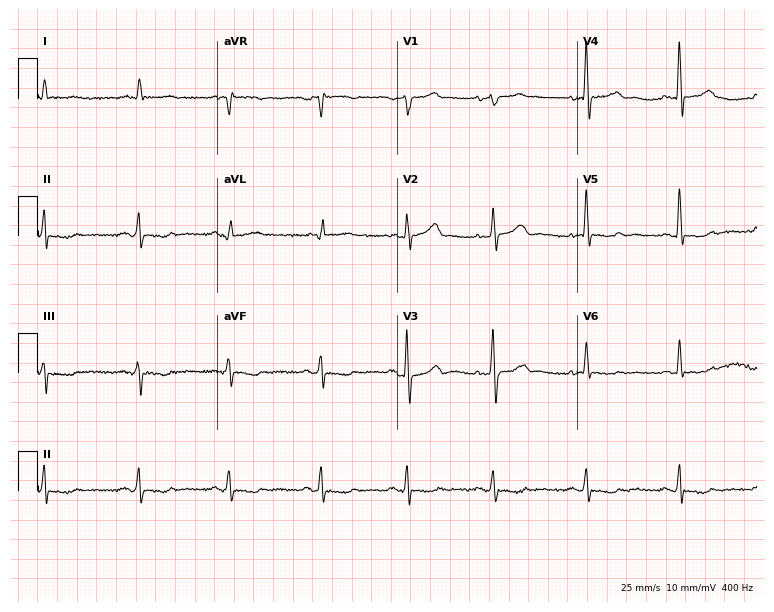
12-lead ECG (7.3-second recording at 400 Hz) from a man, 74 years old. Screened for six findings — first-degree AV block, right bundle branch block (RBBB), left bundle branch block (LBBB), sinus bradycardia, atrial fibrillation (AF), sinus tachycardia — none is recorded. Findings outside these six are not listed.